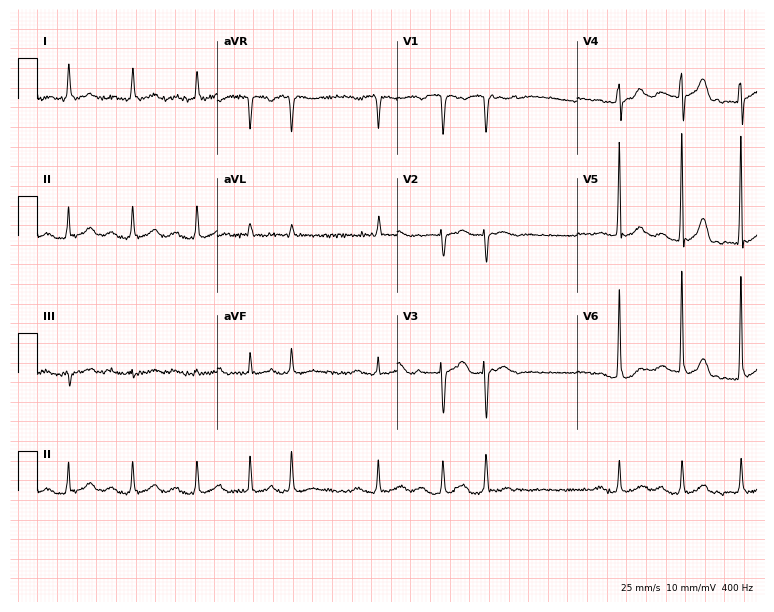
12-lead ECG from a female, 84 years old. Shows atrial fibrillation (AF).